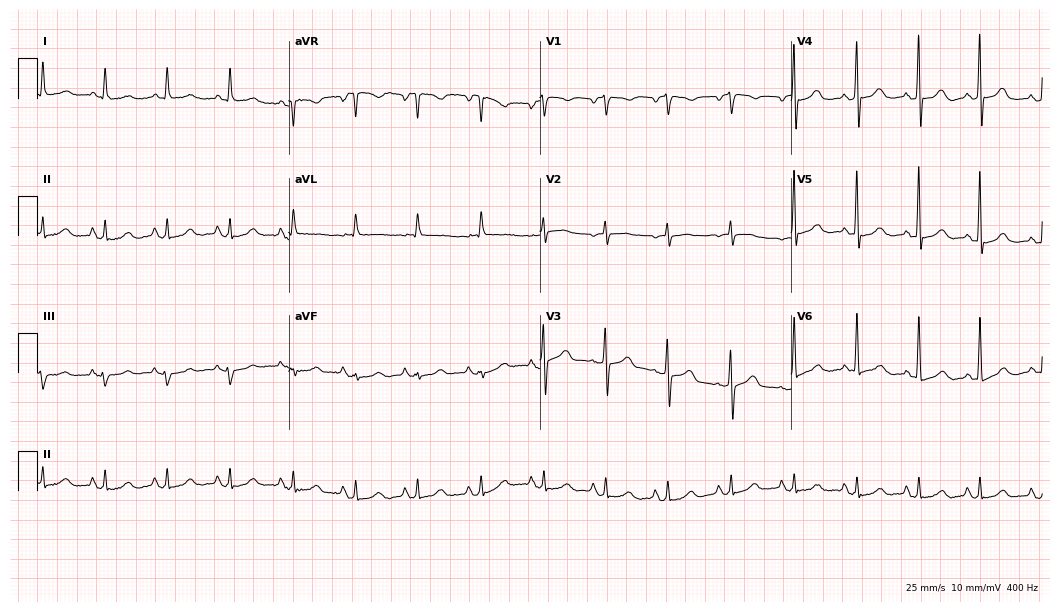
Electrocardiogram, a 78-year-old woman. Overall reading on record: normal ECG.